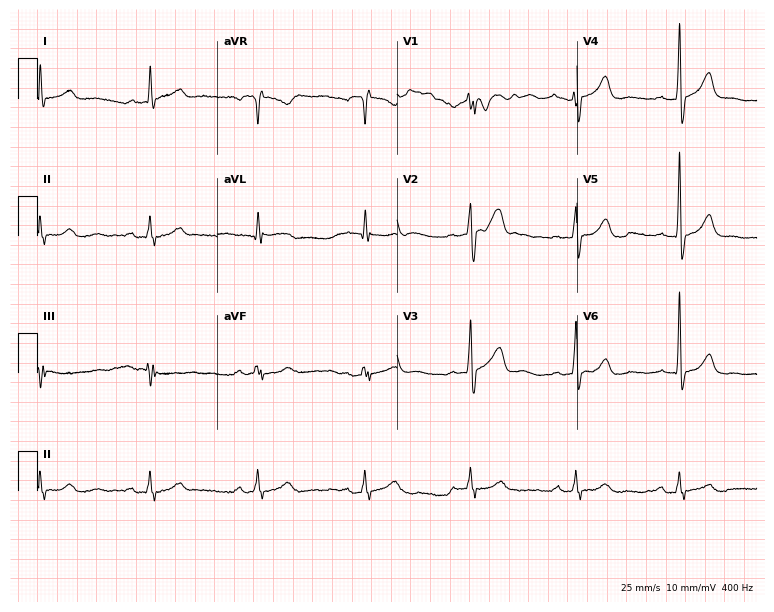
ECG — a man, 76 years old. Screened for six findings — first-degree AV block, right bundle branch block, left bundle branch block, sinus bradycardia, atrial fibrillation, sinus tachycardia — none is recorded. Only these six findings were labelled.